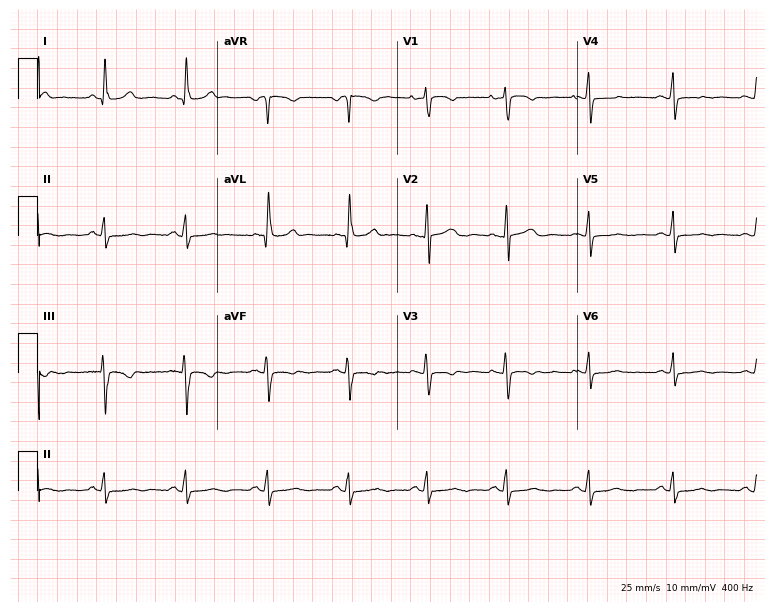
12-lead ECG (7.3-second recording at 400 Hz) from a 60-year-old woman. Screened for six findings — first-degree AV block, right bundle branch block, left bundle branch block, sinus bradycardia, atrial fibrillation, sinus tachycardia — none is recorded.